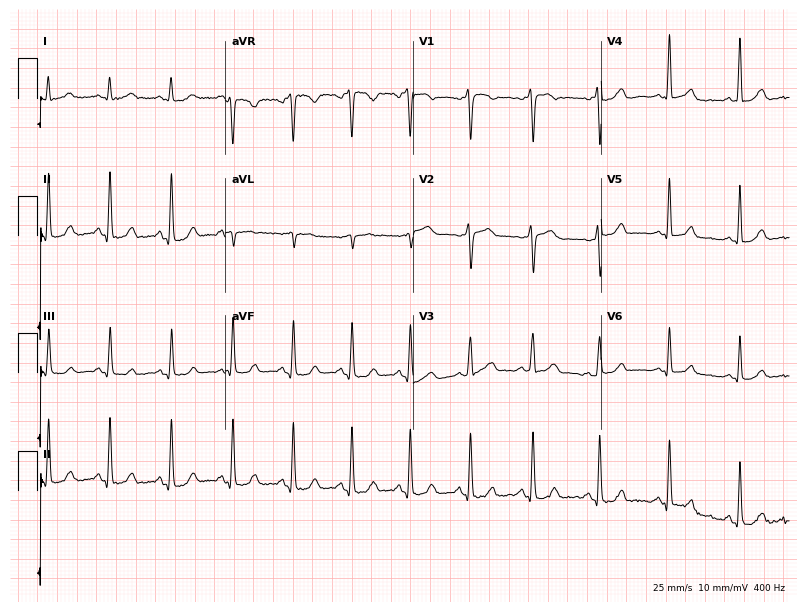
Electrocardiogram (7.7-second recording at 400 Hz), a female, 36 years old. Of the six screened findings (first-degree AV block, right bundle branch block, left bundle branch block, sinus bradycardia, atrial fibrillation, sinus tachycardia), none is recorded.